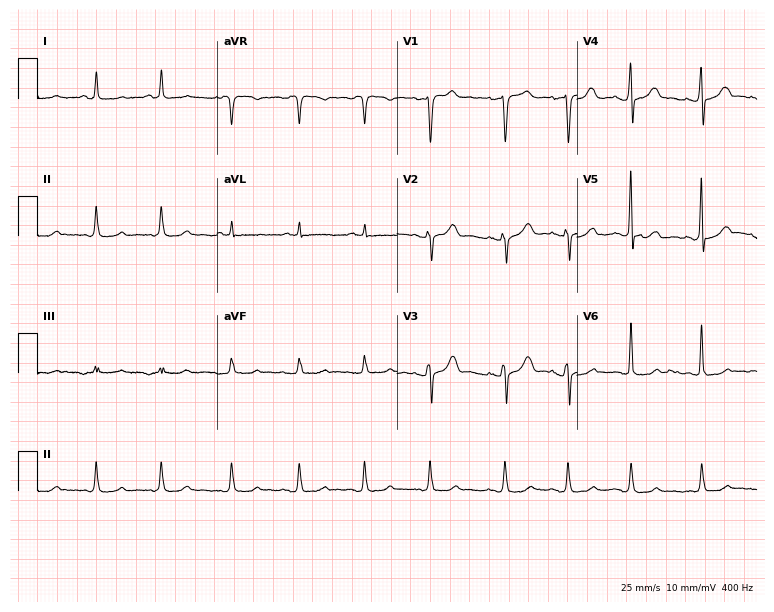
Electrocardiogram, a 47-year-old female. Of the six screened findings (first-degree AV block, right bundle branch block, left bundle branch block, sinus bradycardia, atrial fibrillation, sinus tachycardia), none is recorded.